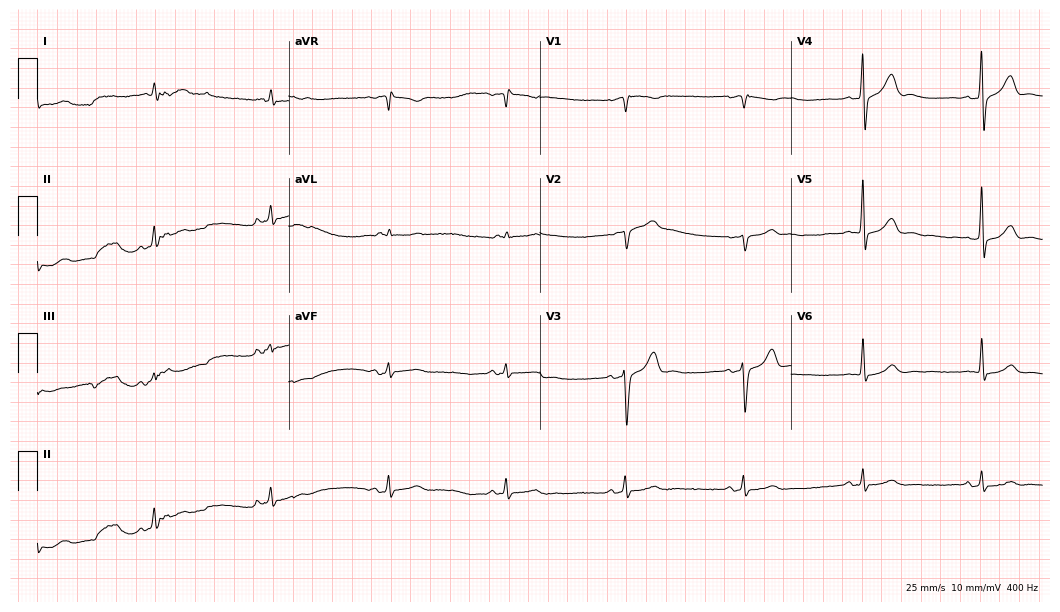
Resting 12-lead electrocardiogram. Patient: a male, 78 years old. None of these six findings is recorded: first-degree AV block, right bundle branch block, left bundle branch block, sinus bradycardia, atrial fibrillation, sinus tachycardia. Only these six findings were labelled.